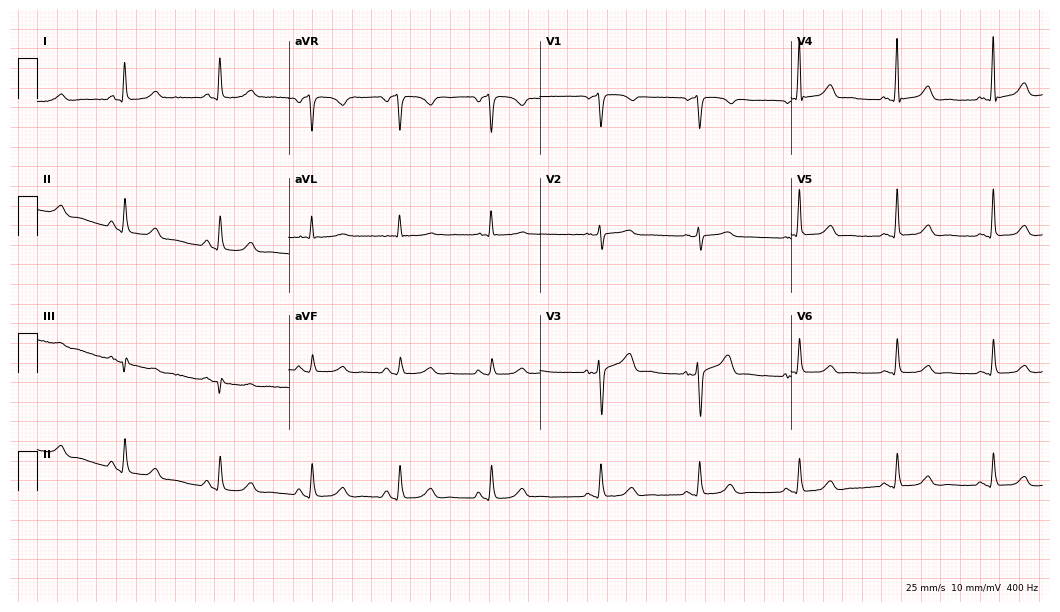
12-lead ECG from a female, 54 years old. Labelled as a normal ECG.